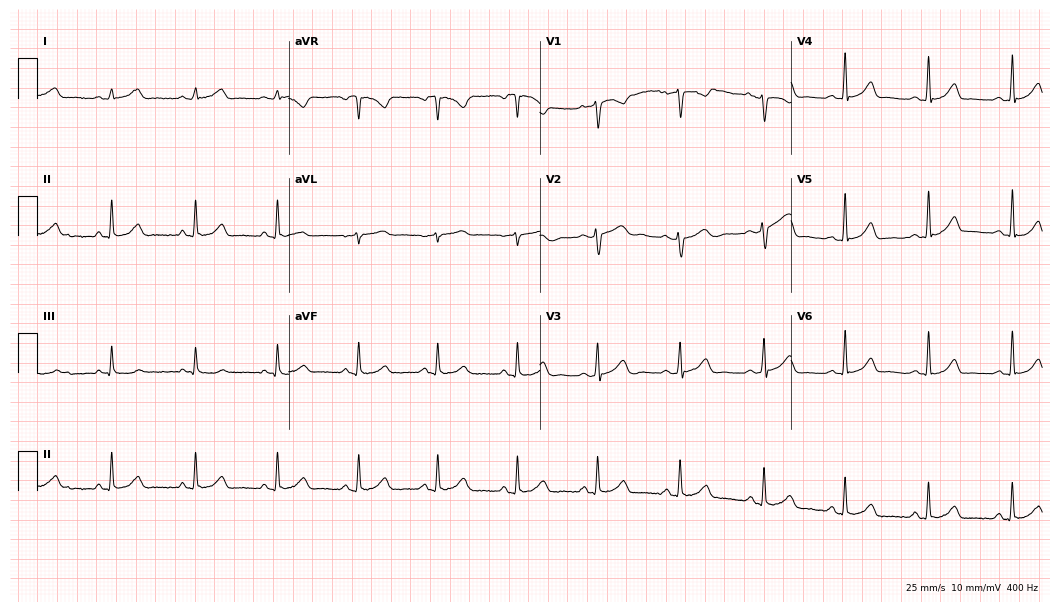
12-lead ECG from a female patient, 33 years old. Labelled as a normal ECG.